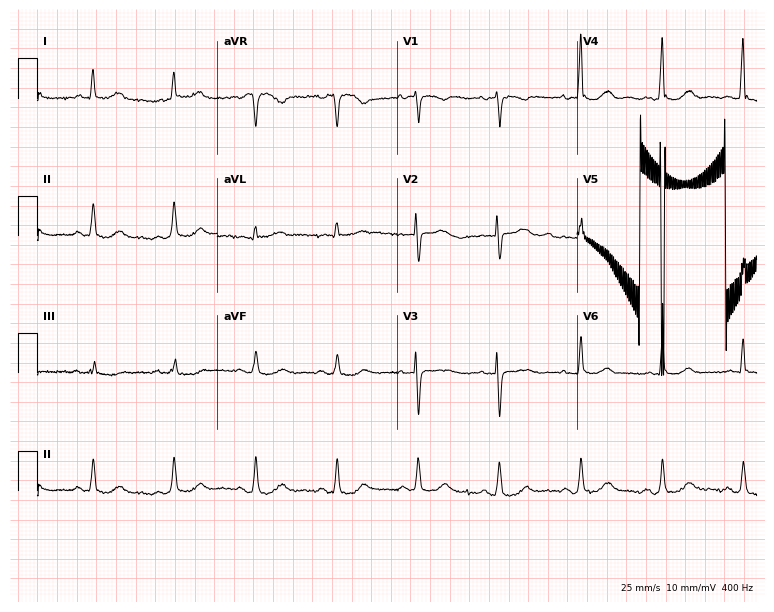
Standard 12-lead ECG recorded from a 76-year-old female patient. Read as a normal ECG.